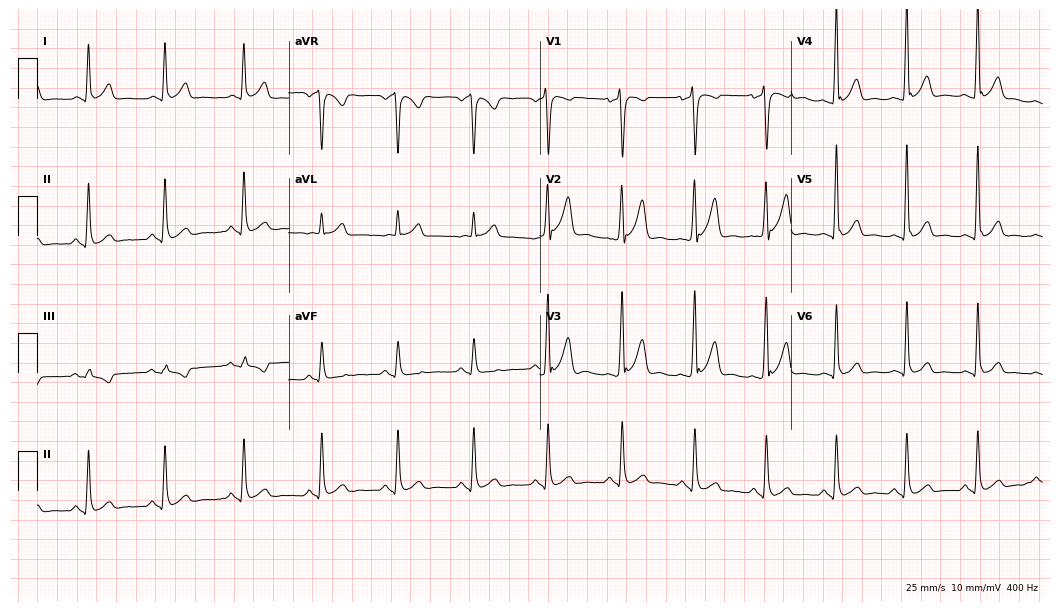
Resting 12-lead electrocardiogram. Patient: a 41-year-old male. Read as a normal ECG.